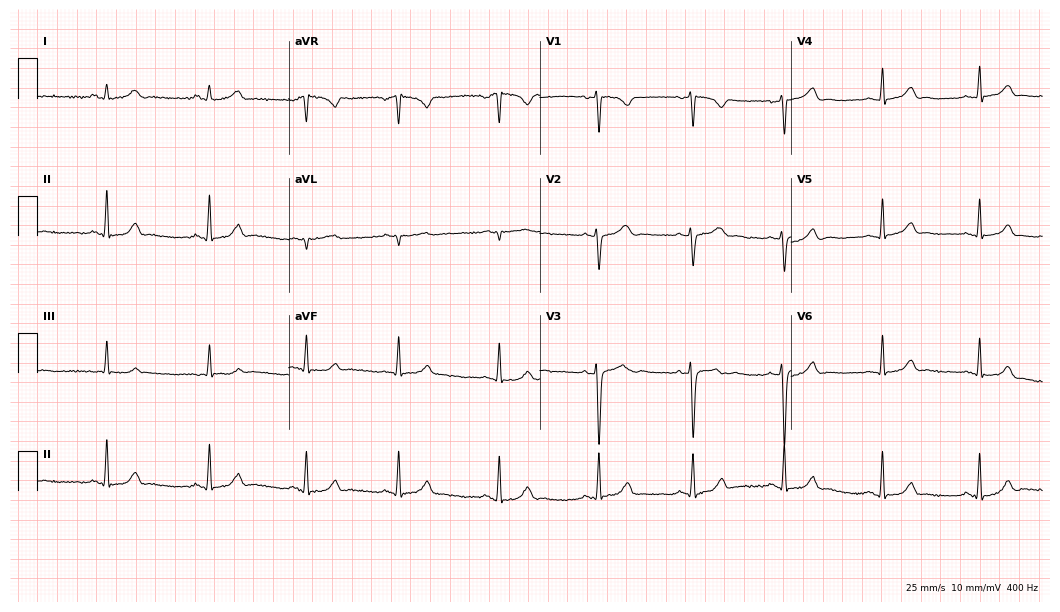
12-lead ECG from a female, 21 years old. Recorded interpretation: within normal limits.